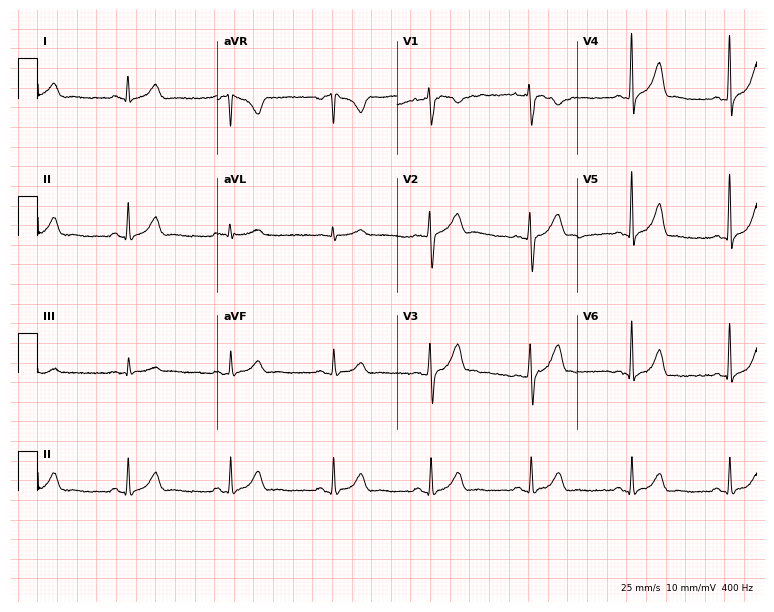
Resting 12-lead electrocardiogram (7.3-second recording at 400 Hz). Patient: a male, 52 years old. None of these six findings is recorded: first-degree AV block, right bundle branch block (RBBB), left bundle branch block (LBBB), sinus bradycardia, atrial fibrillation (AF), sinus tachycardia. Only these six findings were labelled.